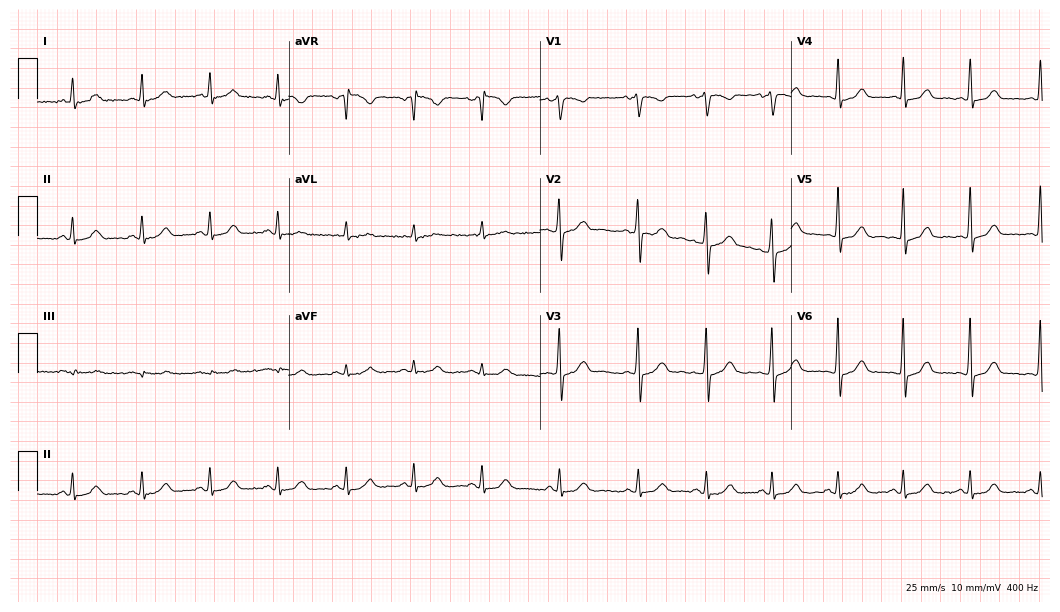
Electrocardiogram (10.2-second recording at 400 Hz), a female patient, 42 years old. Overall reading on record: normal ECG.